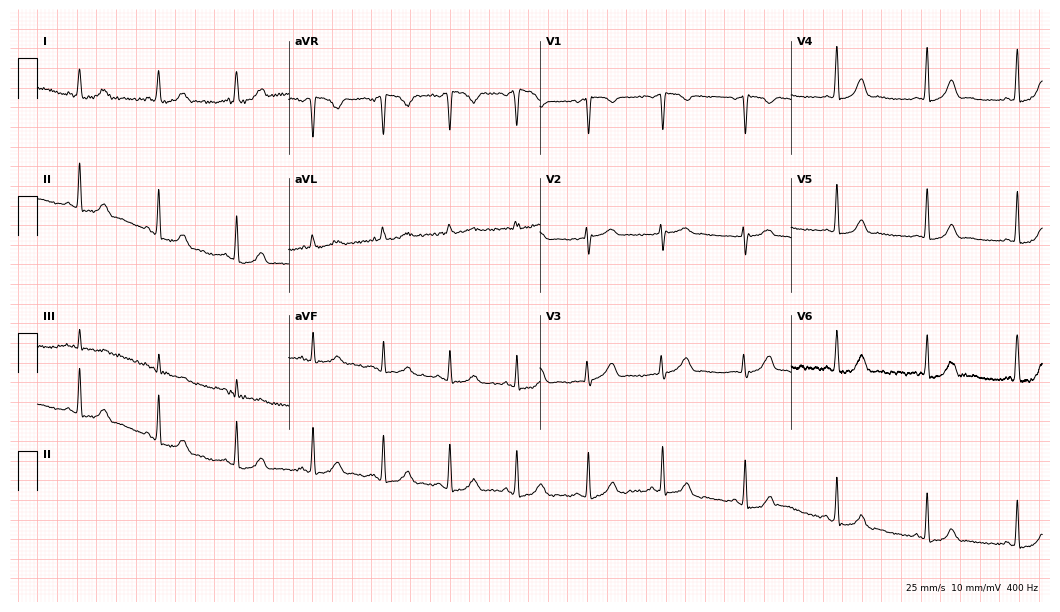
12-lead ECG (10.2-second recording at 400 Hz) from a 26-year-old female. Labelled as a normal ECG.